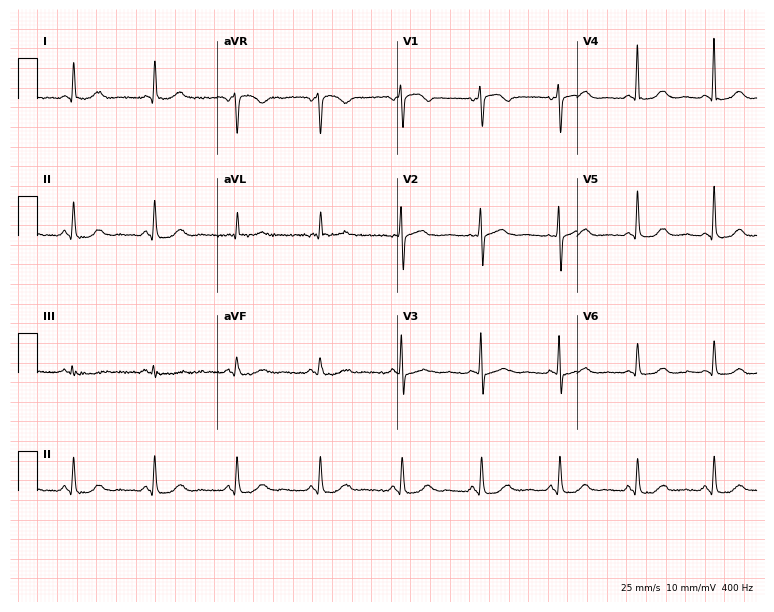
Resting 12-lead electrocardiogram. Patient: a 67-year-old female. Read as a normal ECG.